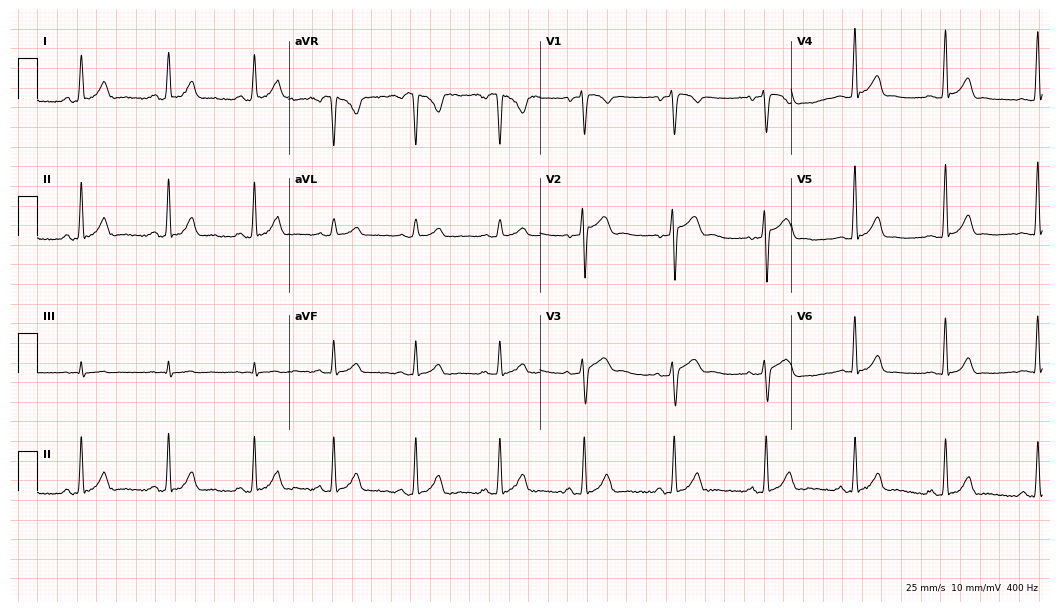
12-lead ECG from a male, 24 years old (10.2-second recording at 400 Hz). Recorded interpretation: within normal limits.